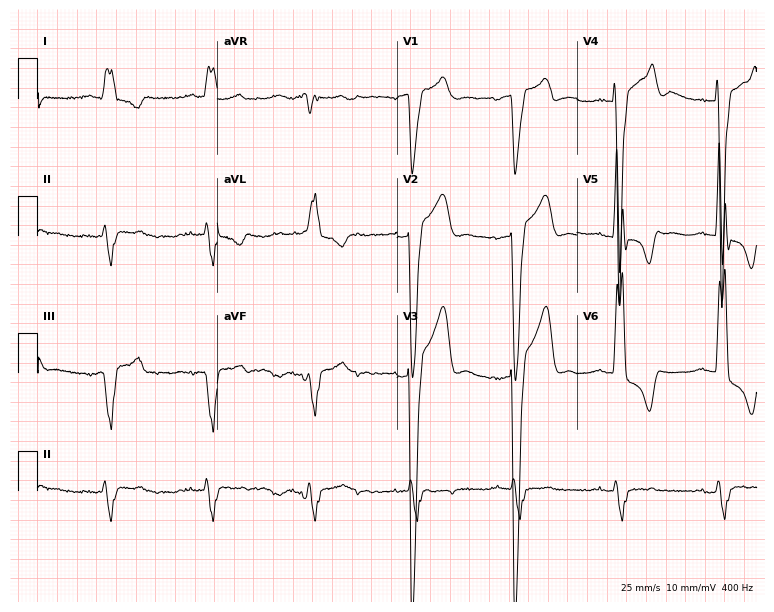
12-lead ECG from a male patient, 83 years old. Shows left bundle branch block (LBBB).